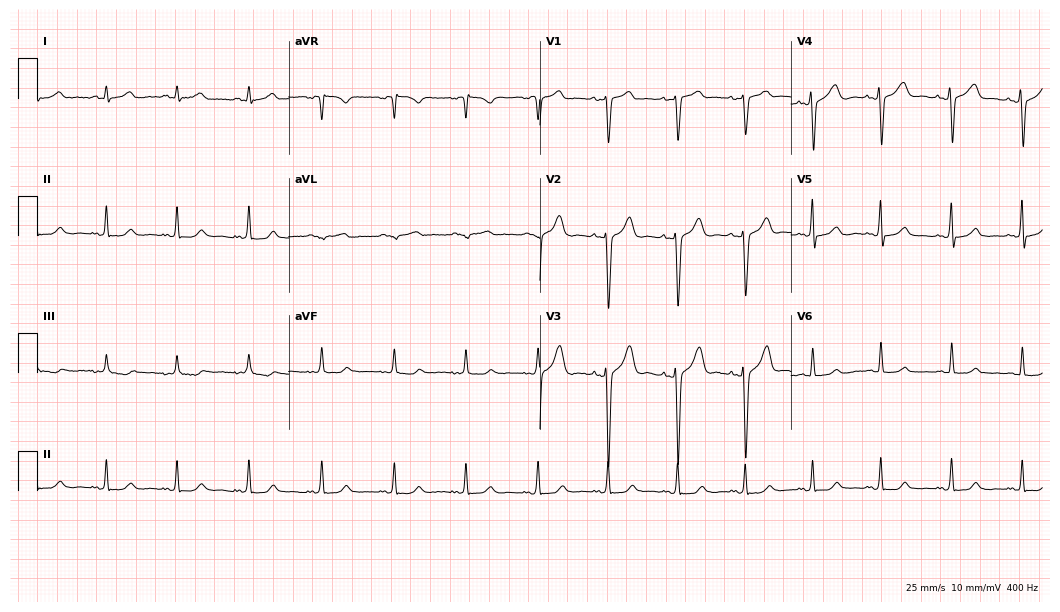
ECG (10.2-second recording at 400 Hz) — a 35-year-old male. Labelled as a normal ECG.